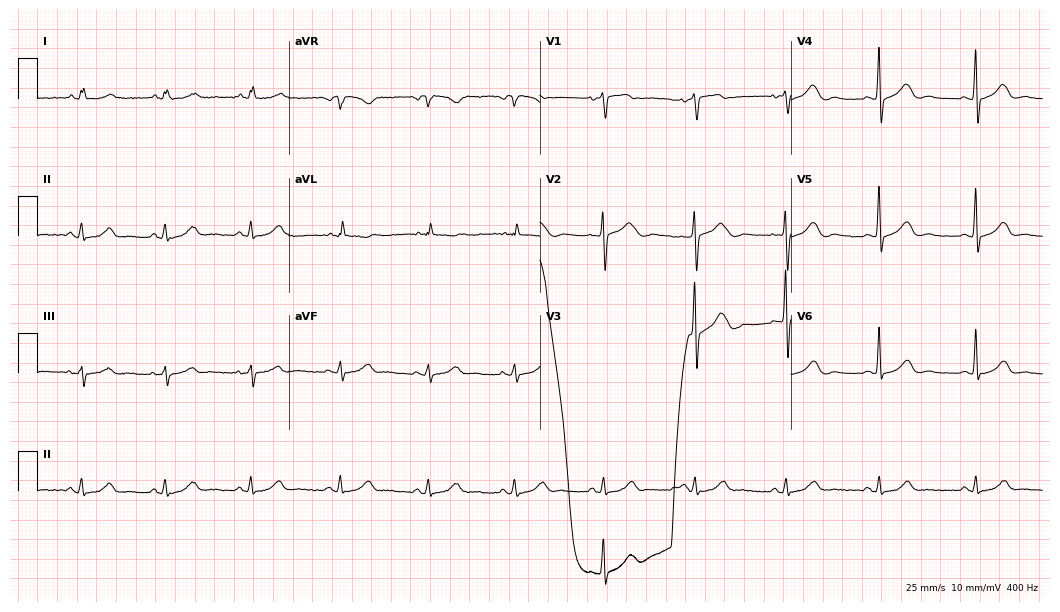
ECG — a 65-year-old female patient. Labelled as a normal ECG.